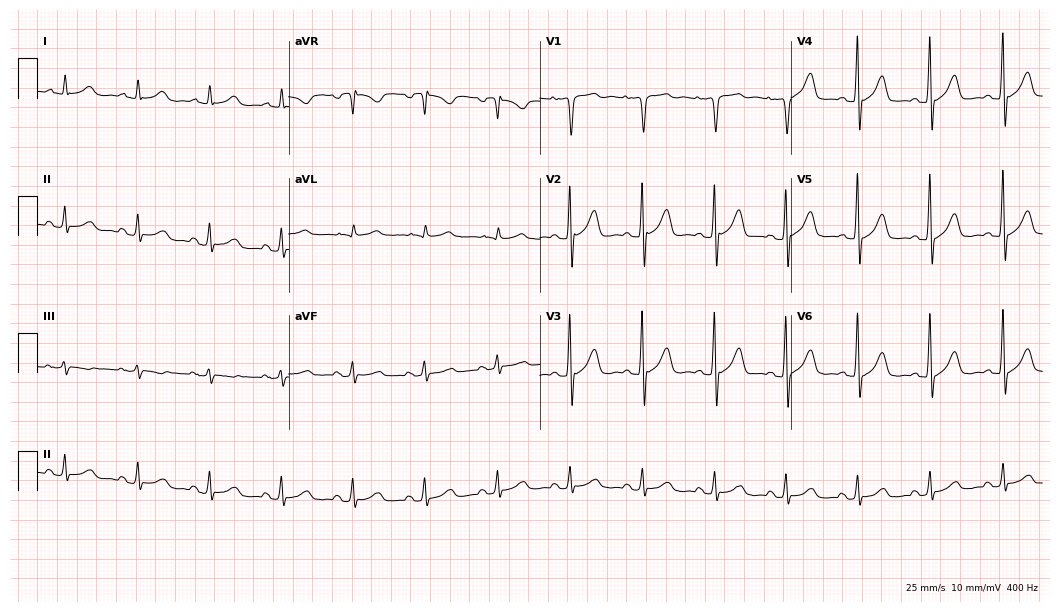
Standard 12-lead ECG recorded from a 65-year-old male patient (10.2-second recording at 400 Hz). Read as a normal ECG.